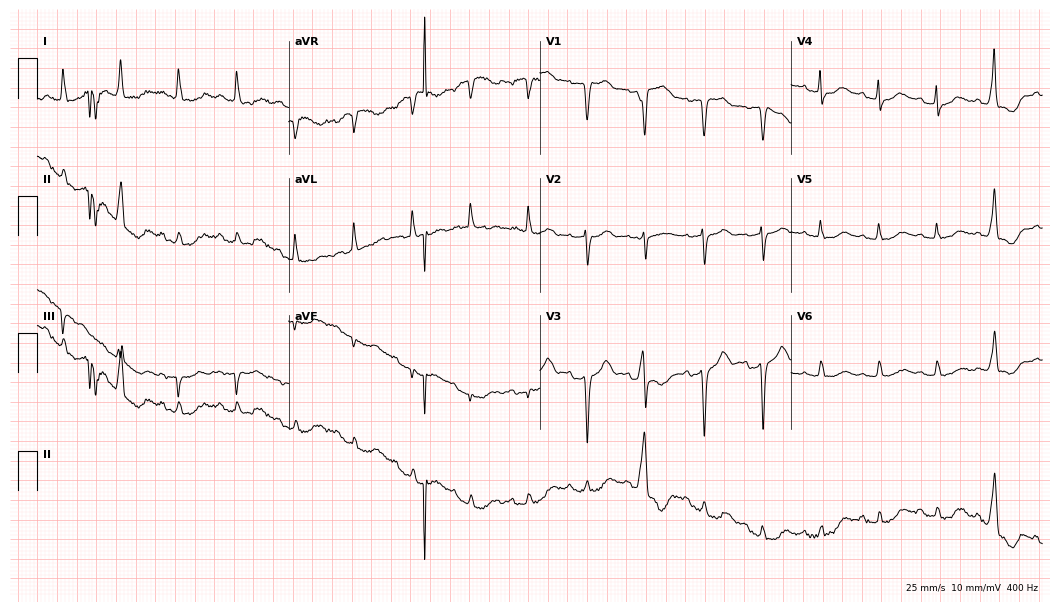
ECG — a female, 65 years old. Screened for six findings — first-degree AV block, right bundle branch block, left bundle branch block, sinus bradycardia, atrial fibrillation, sinus tachycardia — none is recorded.